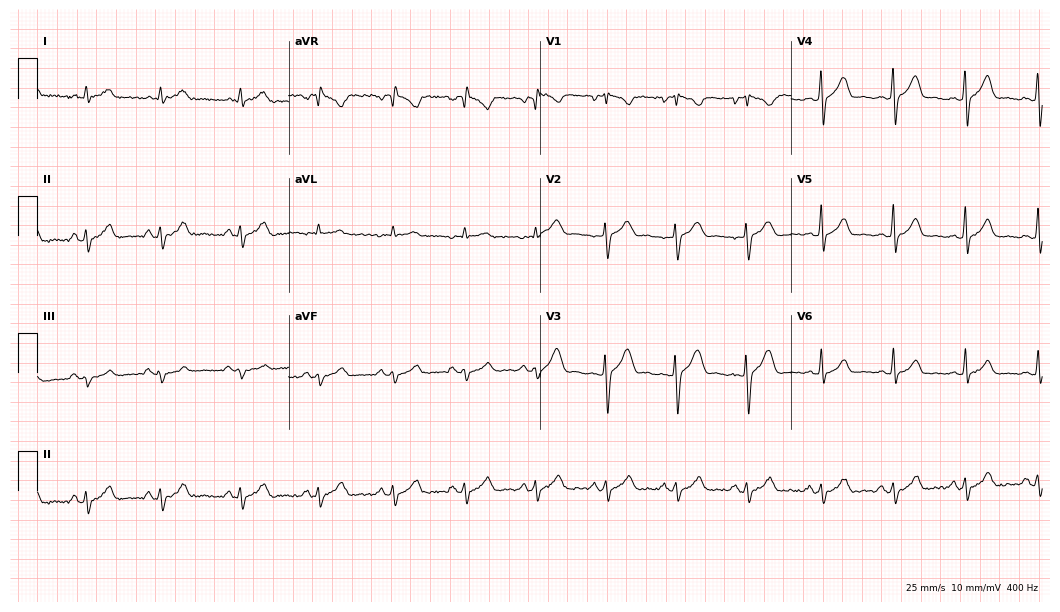
Resting 12-lead electrocardiogram (10.2-second recording at 400 Hz). Patient: a man, 30 years old. None of these six findings is recorded: first-degree AV block, right bundle branch block, left bundle branch block, sinus bradycardia, atrial fibrillation, sinus tachycardia.